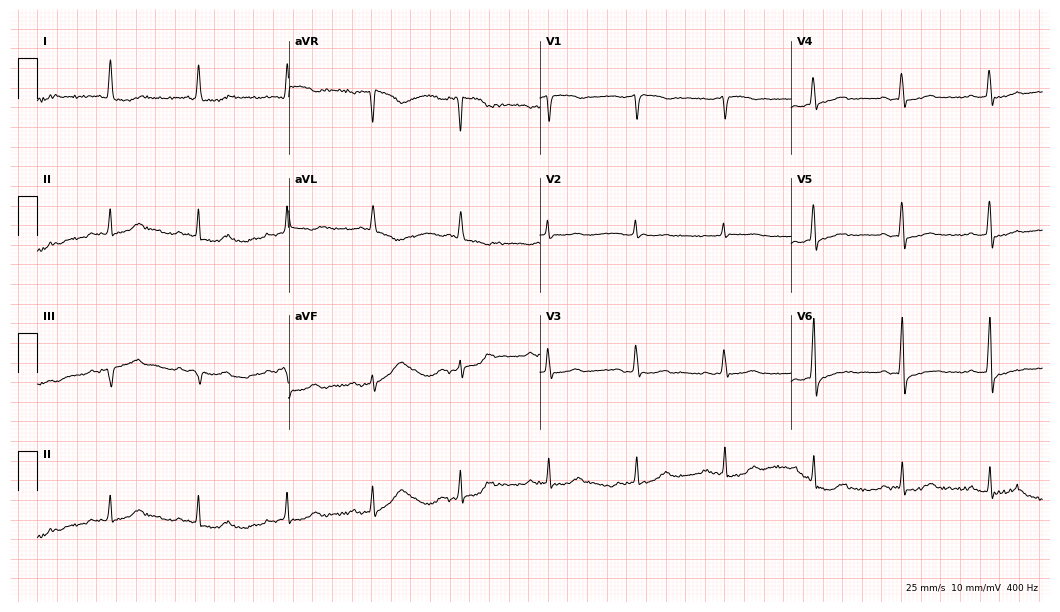
Standard 12-lead ECG recorded from a male, 87 years old (10.2-second recording at 400 Hz). None of these six findings is recorded: first-degree AV block, right bundle branch block, left bundle branch block, sinus bradycardia, atrial fibrillation, sinus tachycardia.